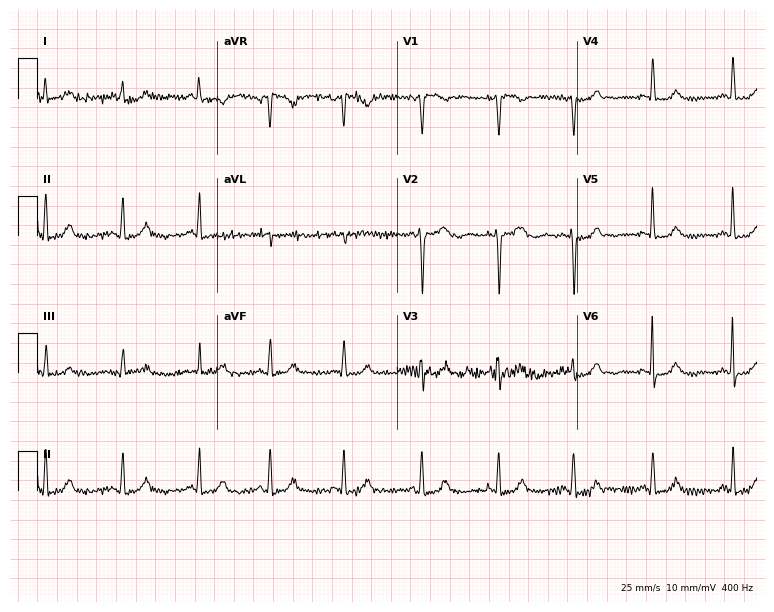
12-lead ECG (7.3-second recording at 400 Hz) from a 44-year-old female patient. Screened for six findings — first-degree AV block, right bundle branch block, left bundle branch block, sinus bradycardia, atrial fibrillation, sinus tachycardia — none is recorded.